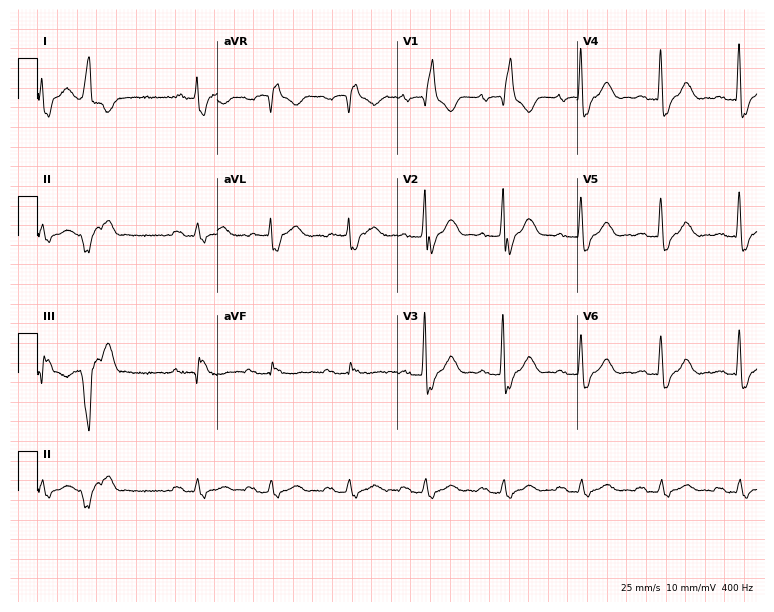
Electrocardiogram, a male, 68 years old. Interpretation includes first-degree AV block, right bundle branch block.